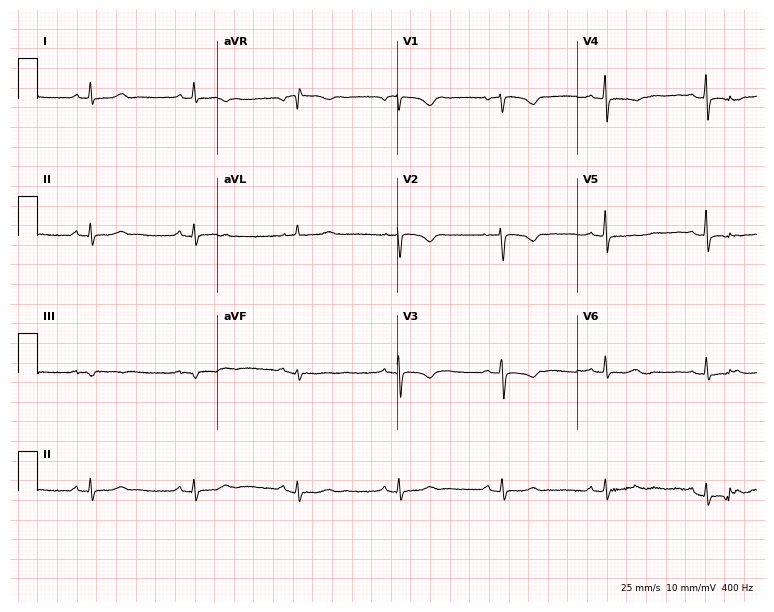
ECG — a female, 67 years old. Screened for six findings — first-degree AV block, right bundle branch block, left bundle branch block, sinus bradycardia, atrial fibrillation, sinus tachycardia — none is recorded.